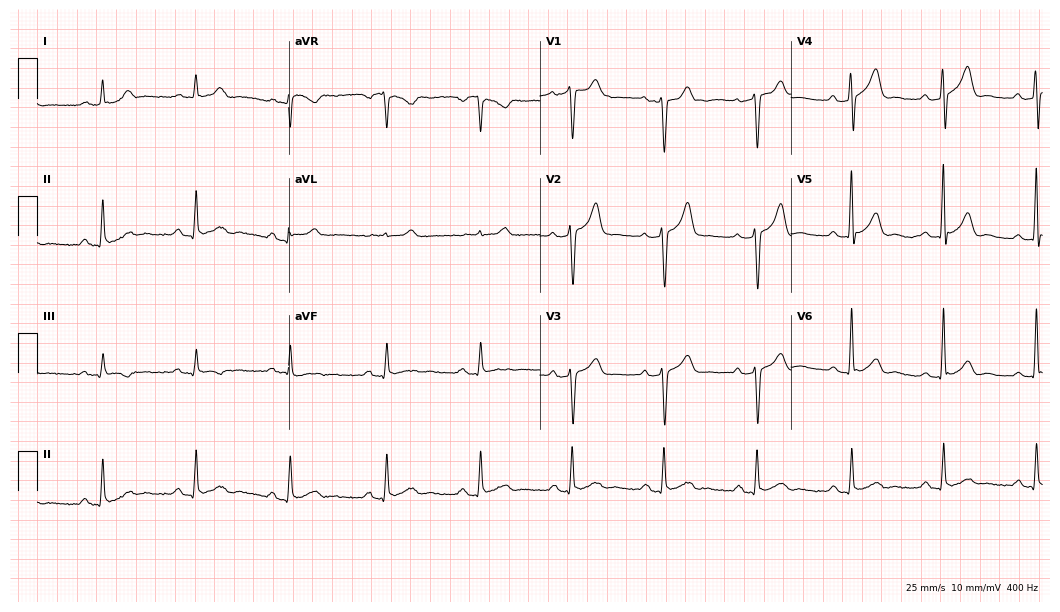
12-lead ECG (10.2-second recording at 400 Hz) from a male, 63 years old. Labelled as a normal ECG.